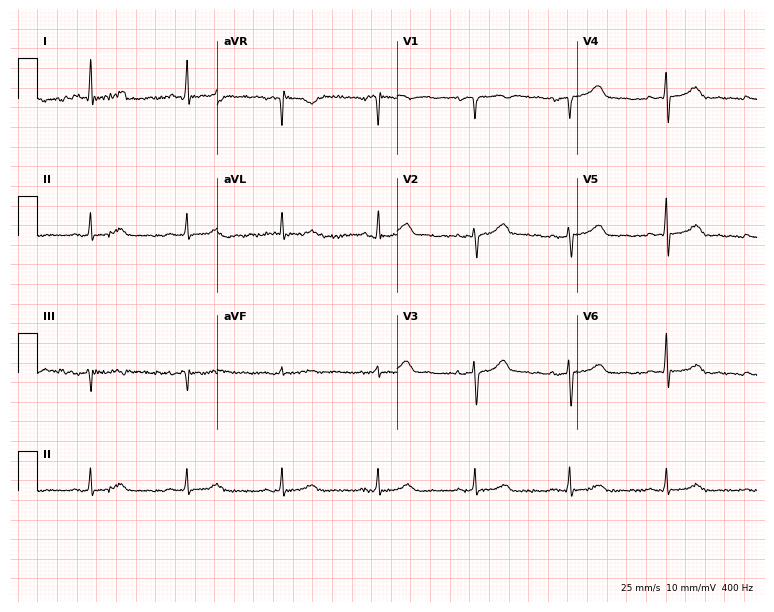
12-lead ECG from a female, 76 years old. Labelled as a normal ECG.